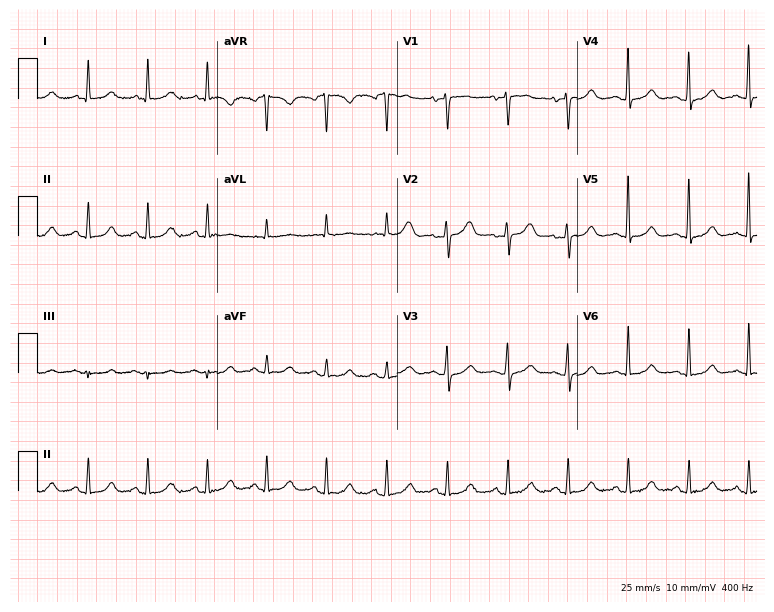
ECG (7.3-second recording at 400 Hz) — a 60-year-old female patient. Screened for six findings — first-degree AV block, right bundle branch block, left bundle branch block, sinus bradycardia, atrial fibrillation, sinus tachycardia — none is recorded.